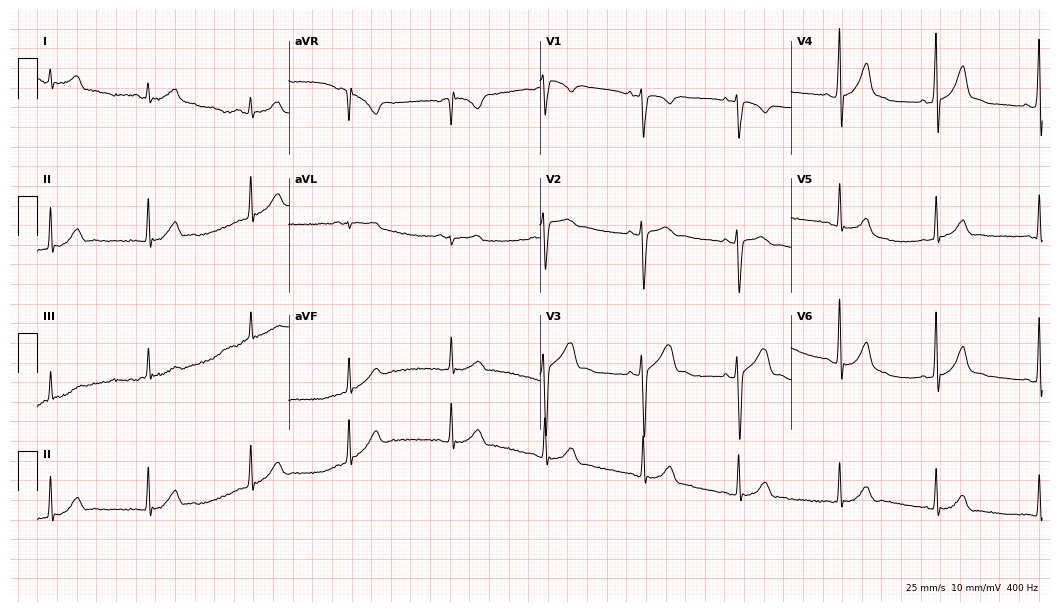
Standard 12-lead ECG recorded from a man, 17 years old. Read as a normal ECG.